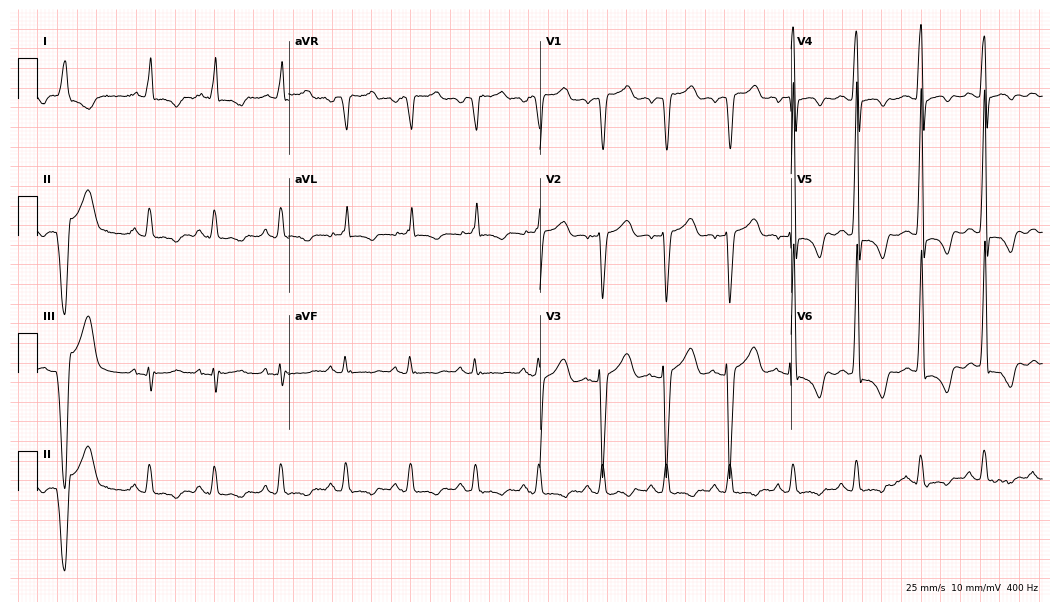
Standard 12-lead ECG recorded from a 75-year-old man. None of these six findings is recorded: first-degree AV block, right bundle branch block, left bundle branch block, sinus bradycardia, atrial fibrillation, sinus tachycardia. Findings outside these six are not listed.